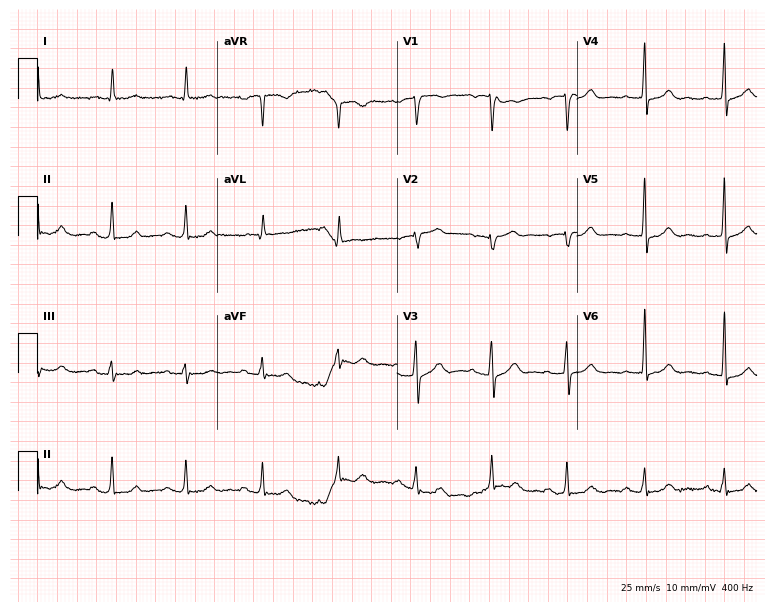
ECG (7.3-second recording at 400 Hz) — a 78-year-old man. Screened for six findings — first-degree AV block, right bundle branch block, left bundle branch block, sinus bradycardia, atrial fibrillation, sinus tachycardia — none is recorded. Other findings, if any, are not listed.